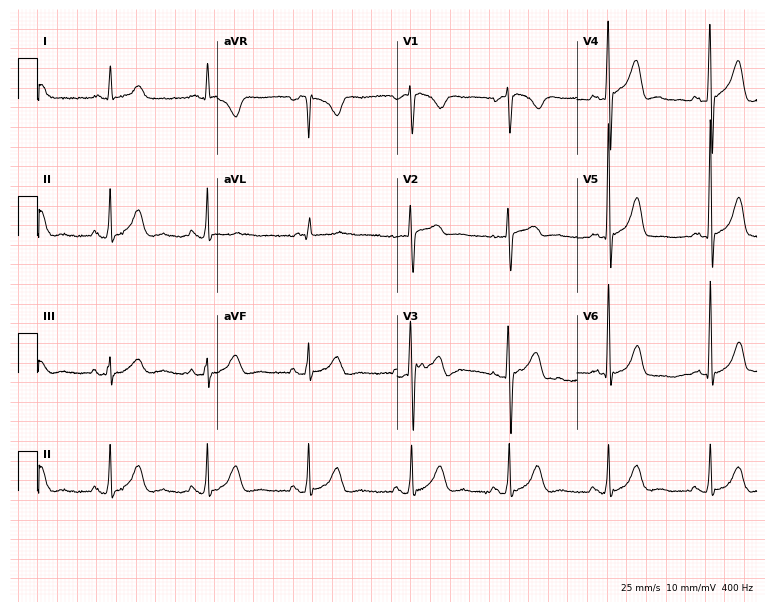
12-lead ECG from a 78-year-old male. Recorded interpretation: within normal limits.